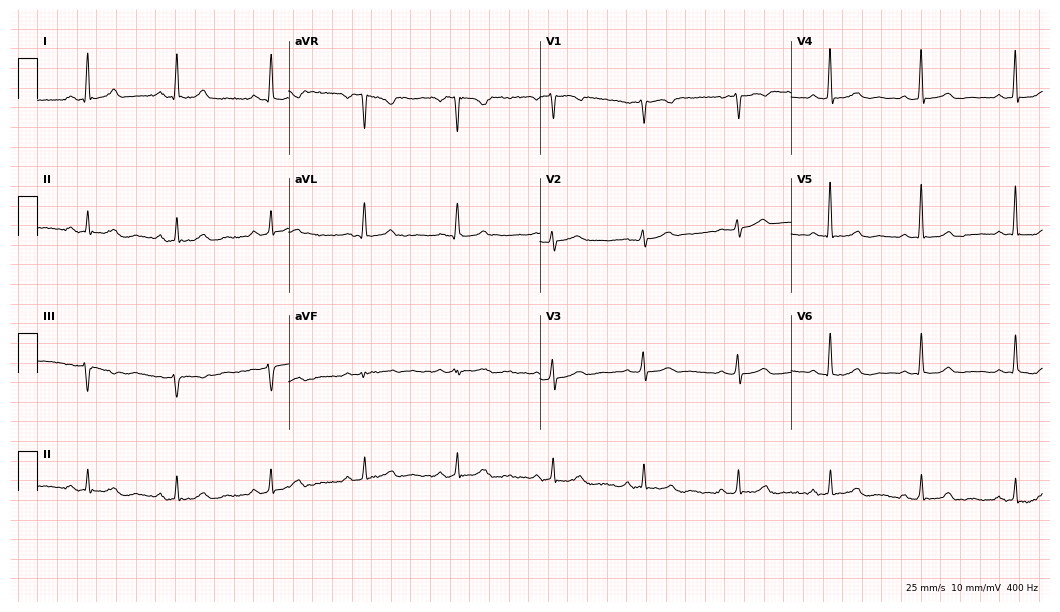
Resting 12-lead electrocardiogram (10.2-second recording at 400 Hz). Patient: a 51-year-old female. Read as a normal ECG.